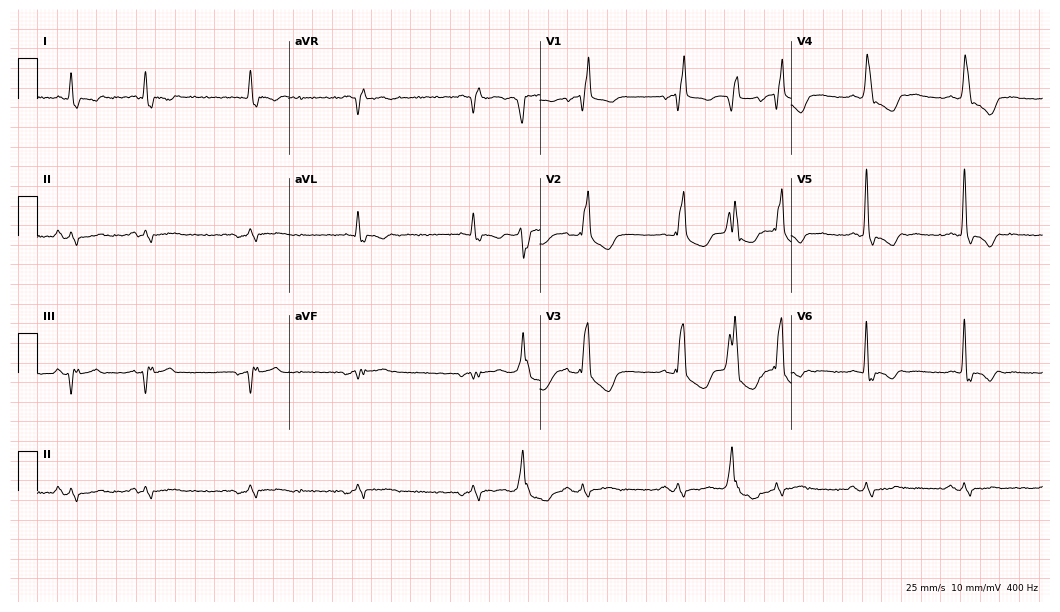
12-lead ECG from an 81-year-old woman (10.2-second recording at 400 Hz). Shows right bundle branch block.